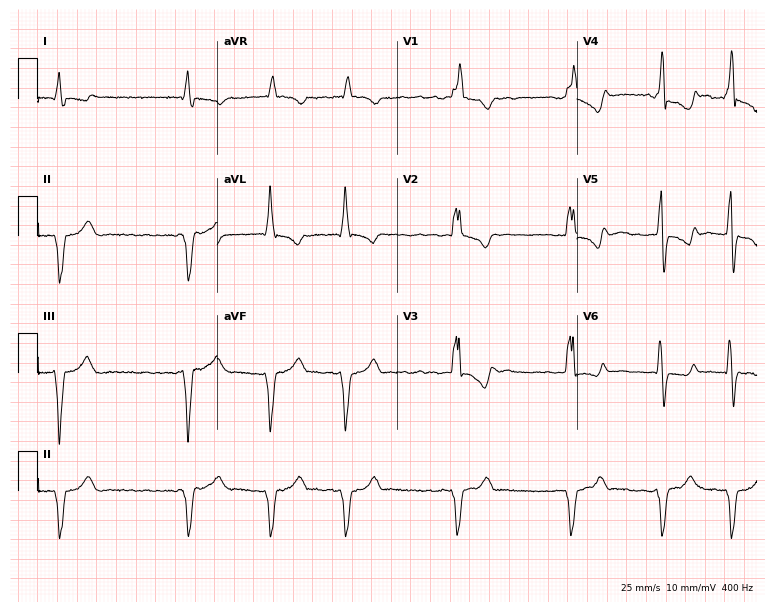
ECG — a man, 82 years old. Findings include right bundle branch block, atrial fibrillation.